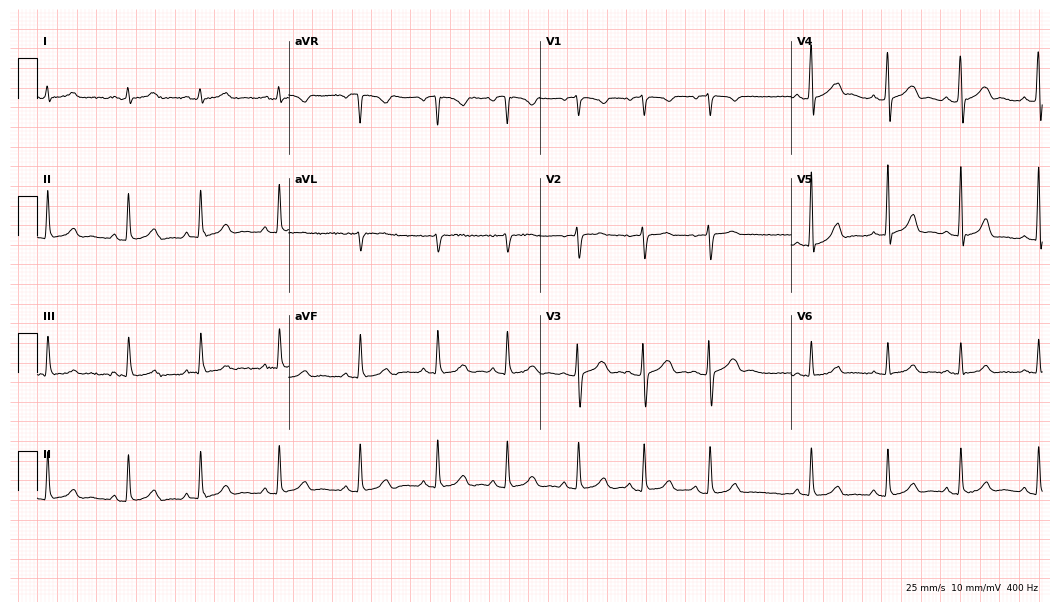
Resting 12-lead electrocardiogram. Patient: a female, 17 years old. Read as a normal ECG.